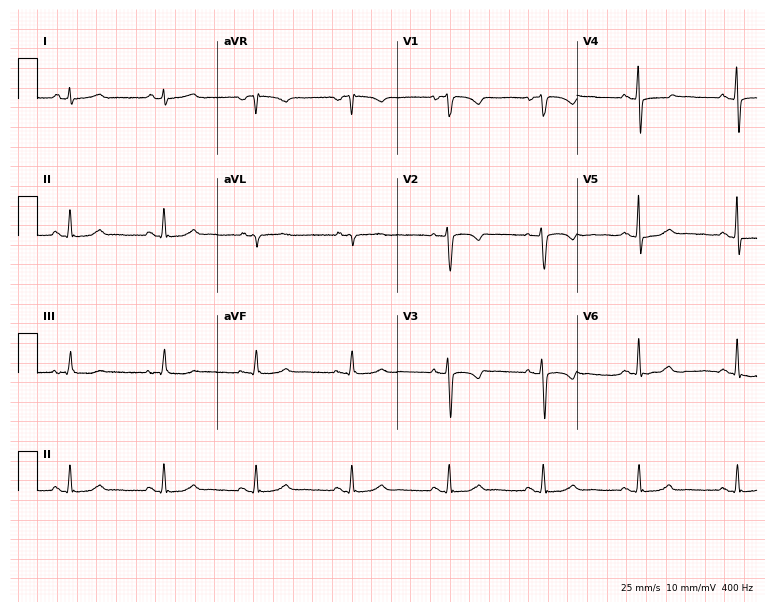
12-lead ECG (7.3-second recording at 400 Hz) from a female, 46 years old. Screened for six findings — first-degree AV block, right bundle branch block, left bundle branch block, sinus bradycardia, atrial fibrillation, sinus tachycardia — none is recorded.